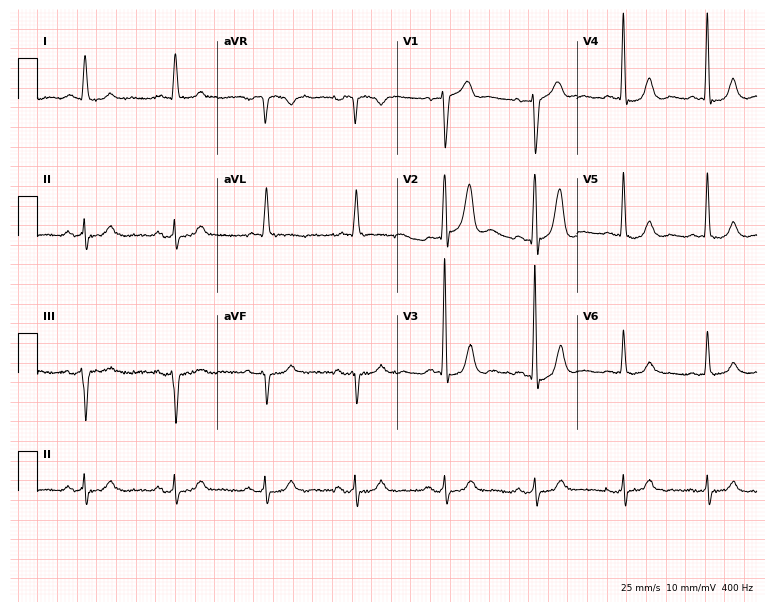
ECG — a 72-year-old female patient. Labelled as a normal ECG.